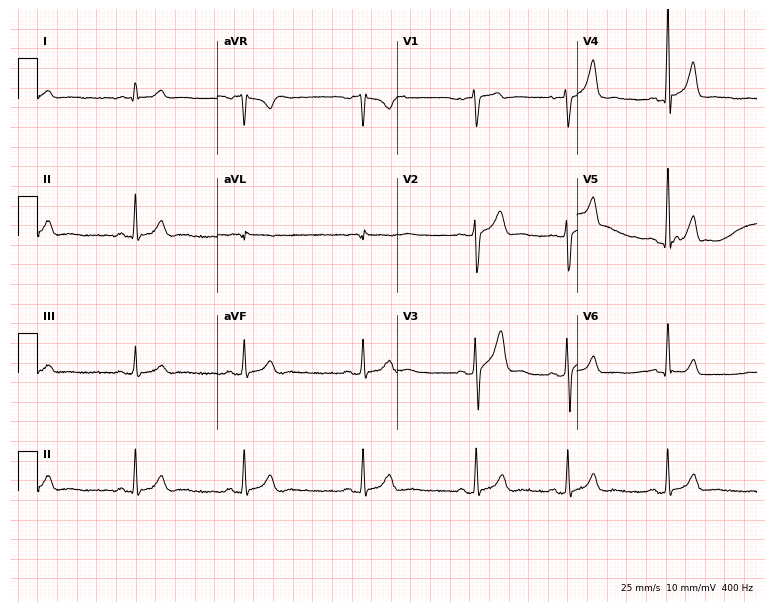
Standard 12-lead ECG recorded from a 29-year-old male. Read as a normal ECG.